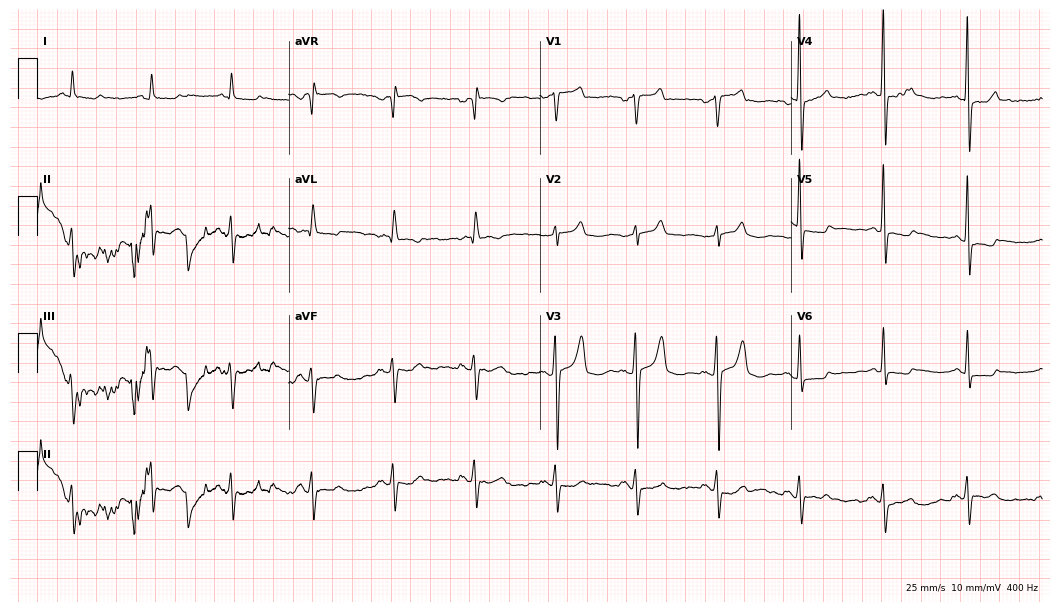
12-lead ECG from a 71-year-old man. Screened for six findings — first-degree AV block, right bundle branch block, left bundle branch block, sinus bradycardia, atrial fibrillation, sinus tachycardia — none is recorded. Findings outside these six are not listed.